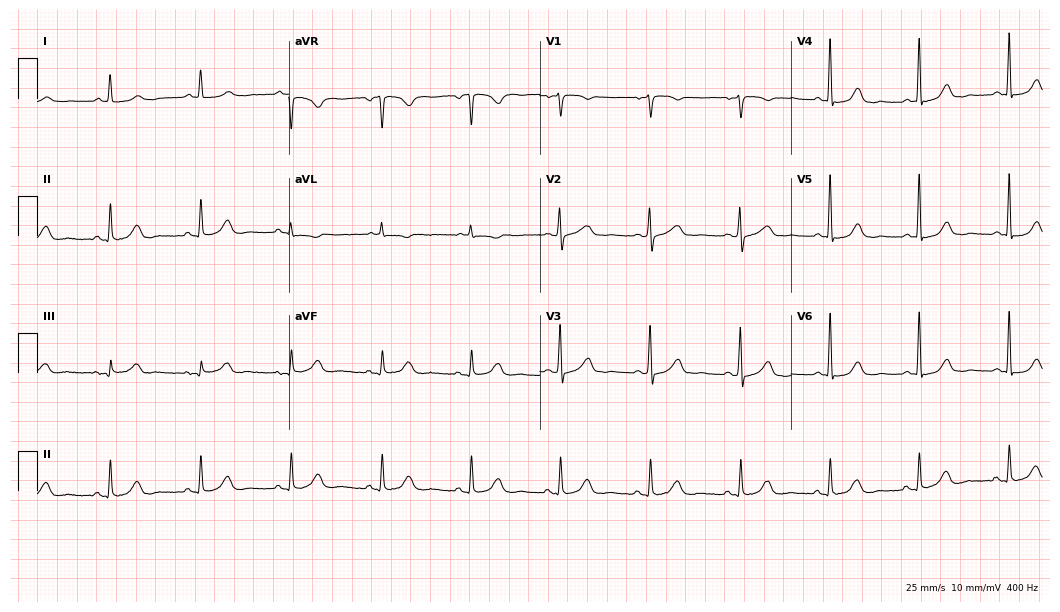
12-lead ECG from a 59-year-old woman. Labelled as a normal ECG.